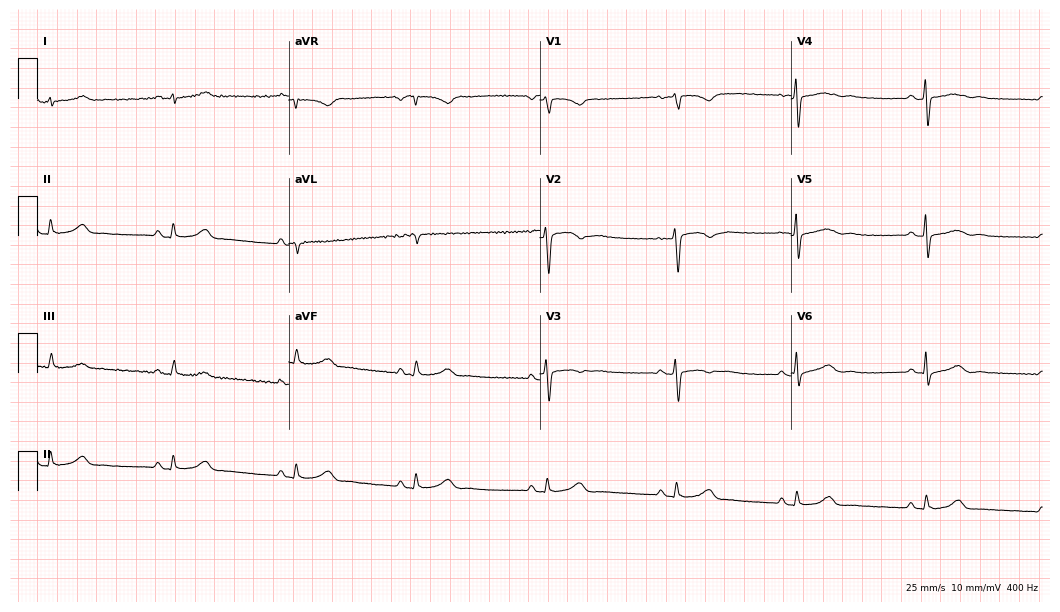
12-lead ECG from a woman, 53 years old. No first-degree AV block, right bundle branch block, left bundle branch block, sinus bradycardia, atrial fibrillation or sinus tachycardia recorded for this tracing. Other findings, if any, are not listed.